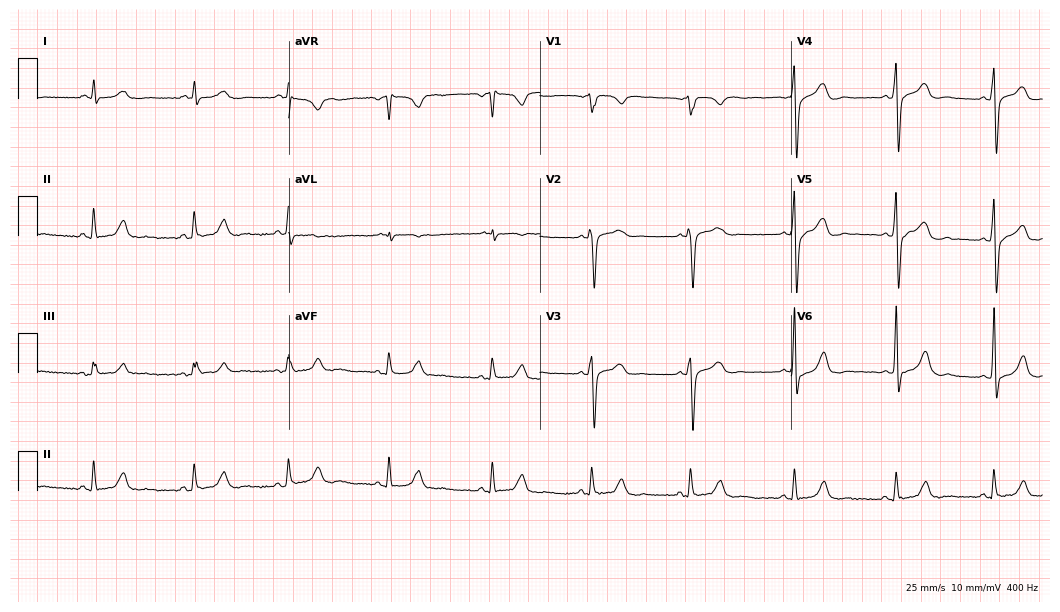
Resting 12-lead electrocardiogram (10.2-second recording at 400 Hz). Patient: a male, 53 years old. None of these six findings is recorded: first-degree AV block, right bundle branch block (RBBB), left bundle branch block (LBBB), sinus bradycardia, atrial fibrillation (AF), sinus tachycardia.